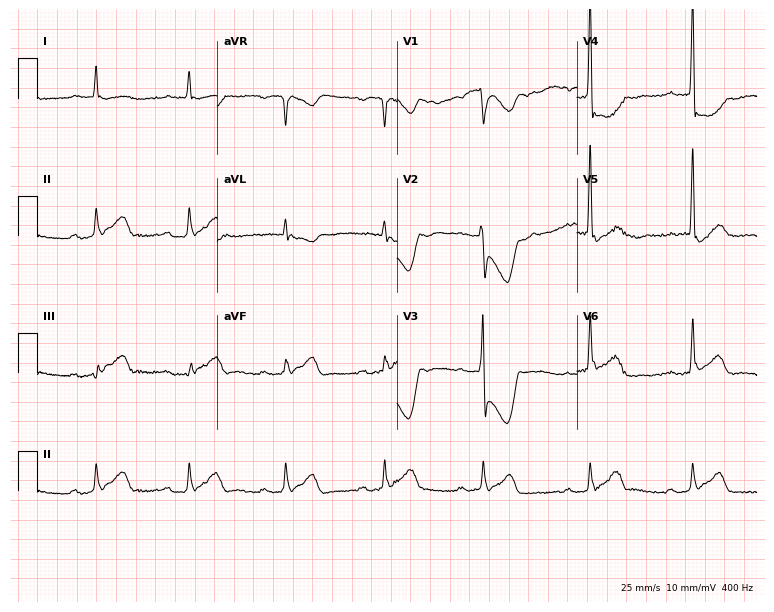
12-lead ECG from a male, 85 years old (7.3-second recording at 400 Hz). Shows first-degree AV block.